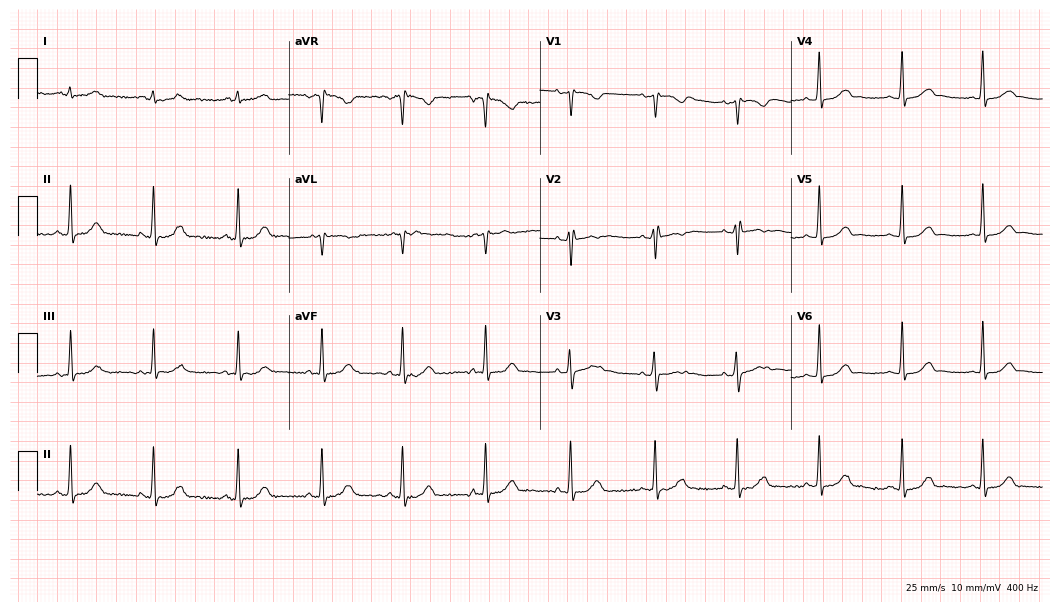
ECG — a female patient, 36 years old. Labelled as a normal ECG.